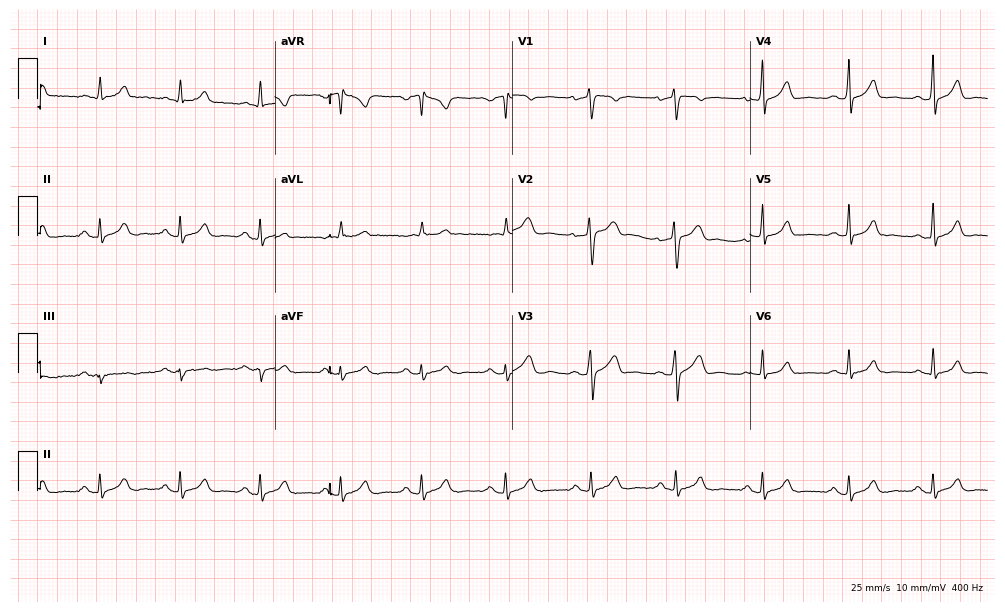
Standard 12-lead ECG recorded from a 34-year-old man (9.7-second recording at 400 Hz). Read as a normal ECG.